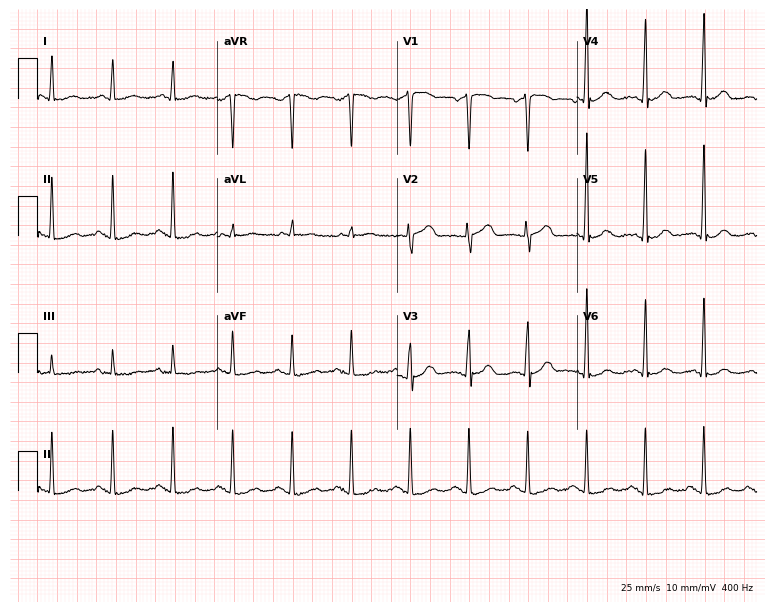
Electrocardiogram (7.3-second recording at 400 Hz), a 71-year-old male. Of the six screened findings (first-degree AV block, right bundle branch block (RBBB), left bundle branch block (LBBB), sinus bradycardia, atrial fibrillation (AF), sinus tachycardia), none is recorded.